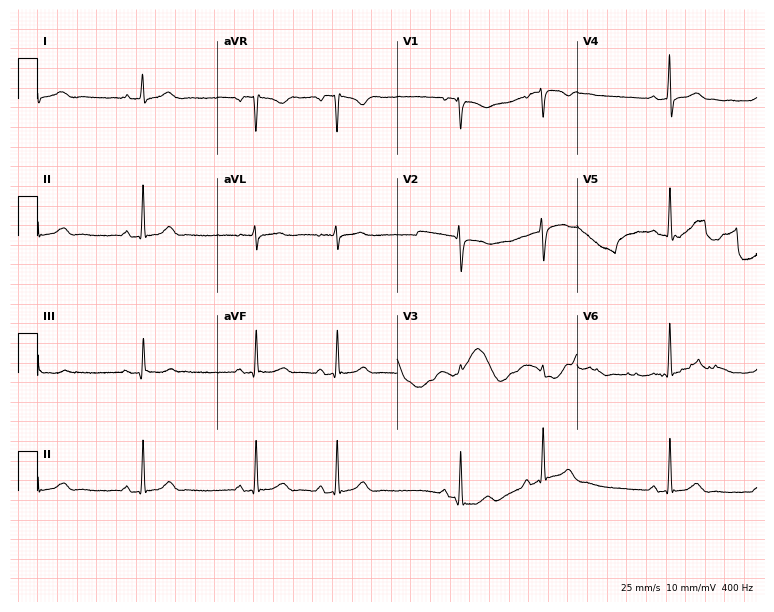
12-lead ECG from a female, 23 years old. Recorded interpretation: within normal limits.